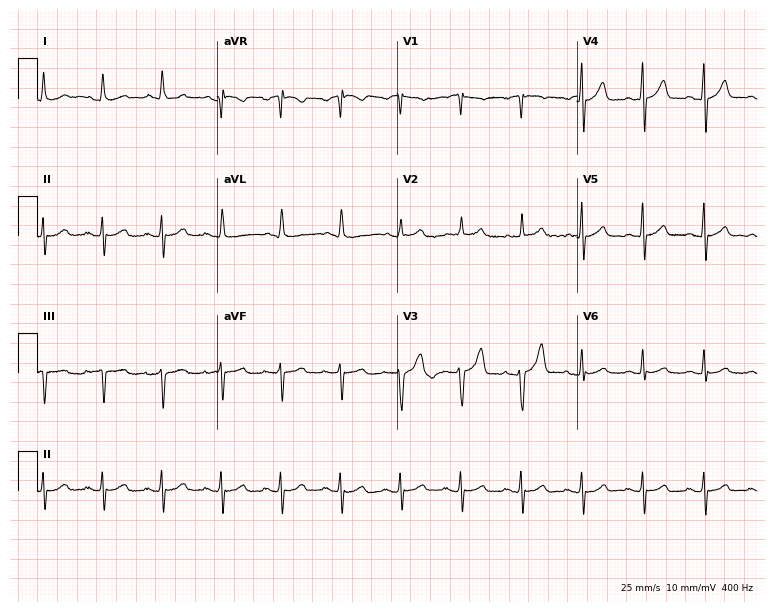
Standard 12-lead ECG recorded from a 62-year-old male. None of these six findings is recorded: first-degree AV block, right bundle branch block, left bundle branch block, sinus bradycardia, atrial fibrillation, sinus tachycardia.